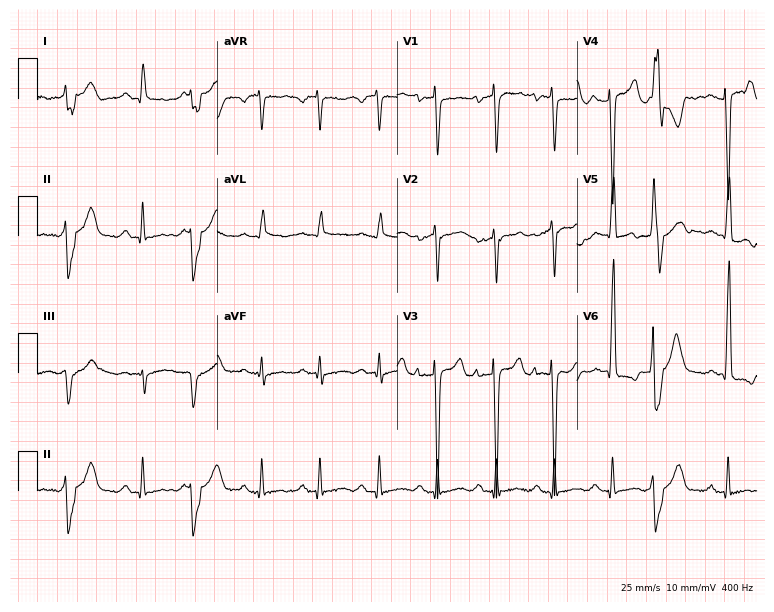
Standard 12-lead ECG recorded from a male patient, 72 years old. None of these six findings is recorded: first-degree AV block, right bundle branch block, left bundle branch block, sinus bradycardia, atrial fibrillation, sinus tachycardia.